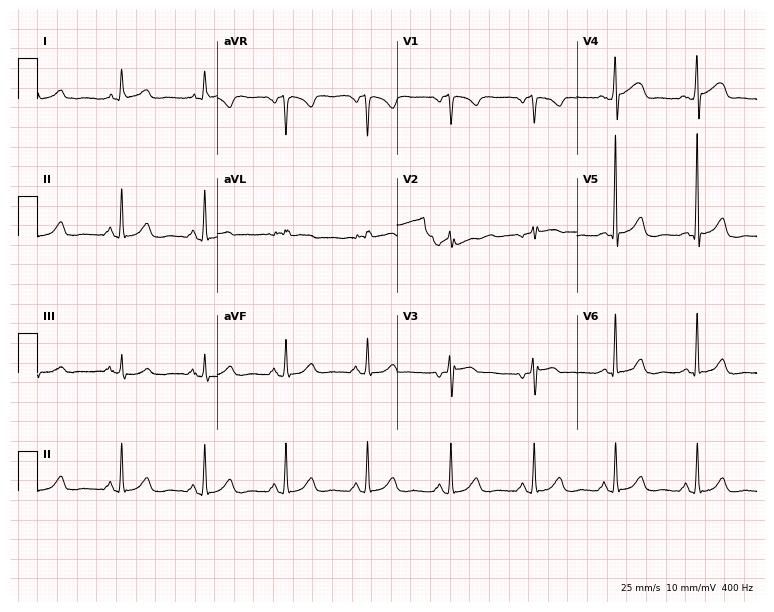
12-lead ECG from a male patient, 60 years old. Screened for six findings — first-degree AV block, right bundle branch block (RBBB), left bundle branch block (LBBB), sinus bradycardia, atrial fibrillation (AF), sinus tachycardia — none is recorded.